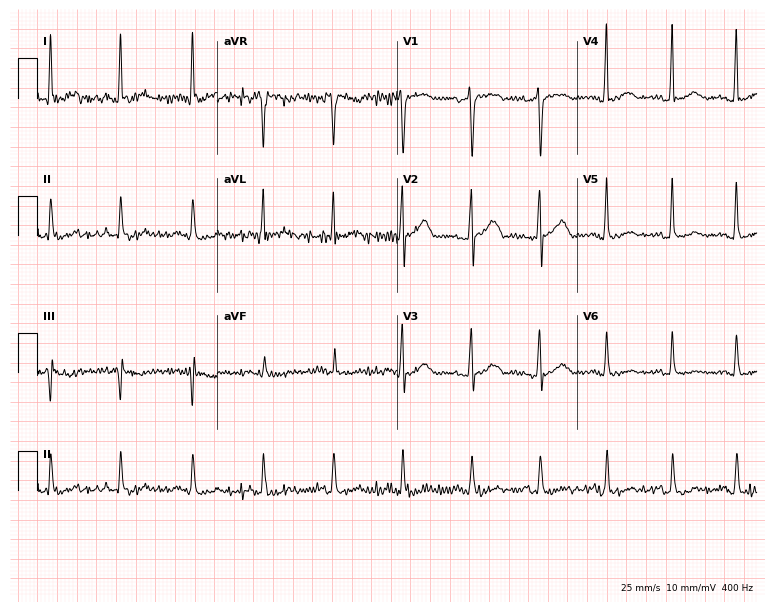
12-lead ECG from a 53-year-old male. Screened for six findings — first-degree AV block, right bundle branch block, left bundle branch block, sinus bradycardia, atrial fibrillation, sinus tachycardia — none is recorded. Only these six findings were labelled.